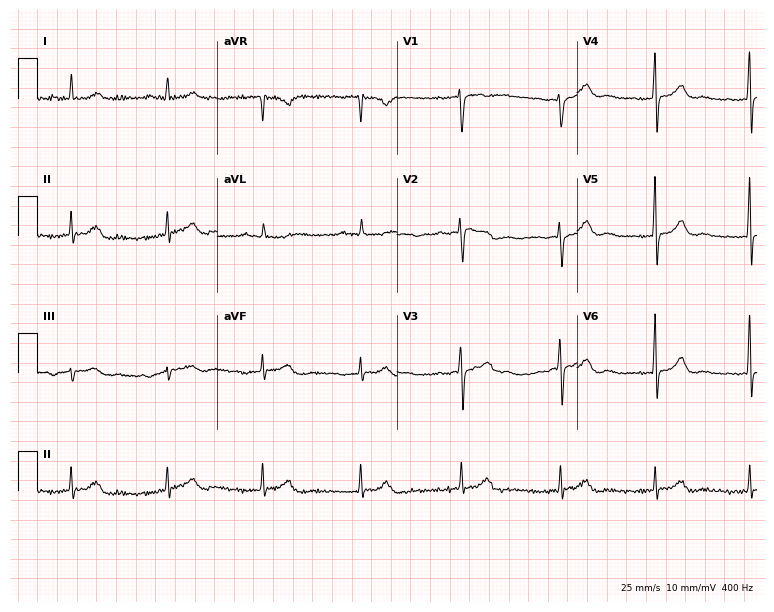
Electrocardiogram, a woman, 62 years old. Of the six screened findings (first-degree AV block, right bundle branch block (RBBB), left bundle branch block (LBBB), sinus bradycardia, atrial fibrillation (AF), sinus tachycardia), none is recorded. Findings outside these six are not listed.